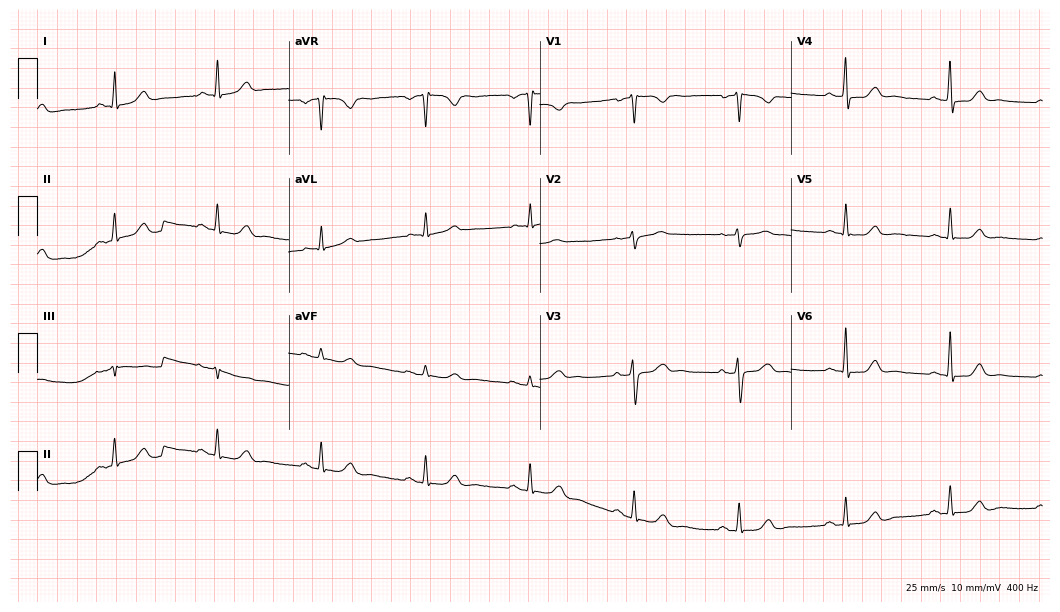
Resting 12-lead electrocardiogram. Patient: a male, 44 years old. Read as a normal ECG.